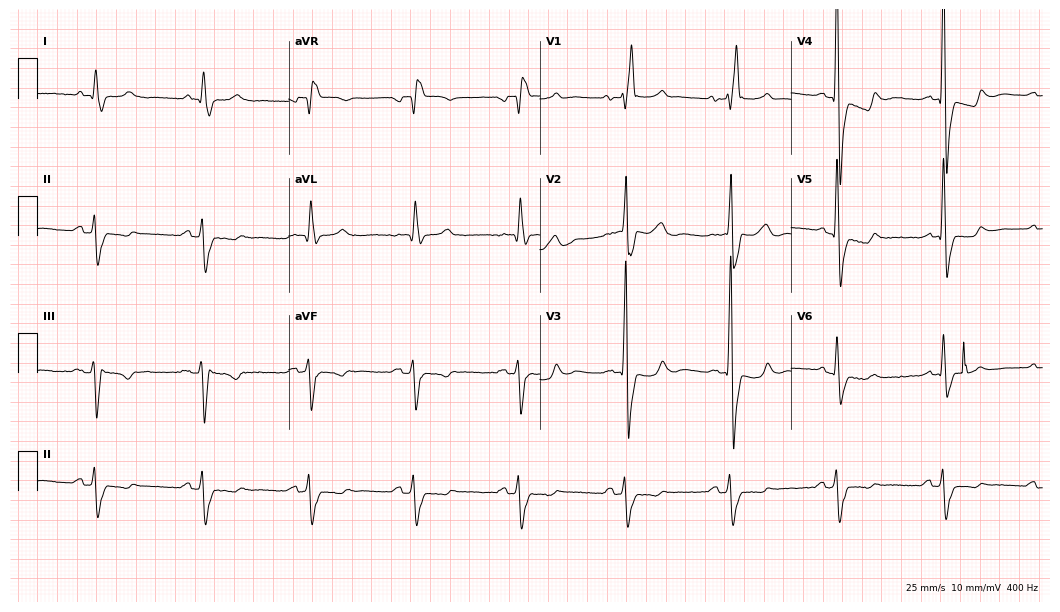
12-lead ECG from a male, 85 years old. Shows right bundle branch block.